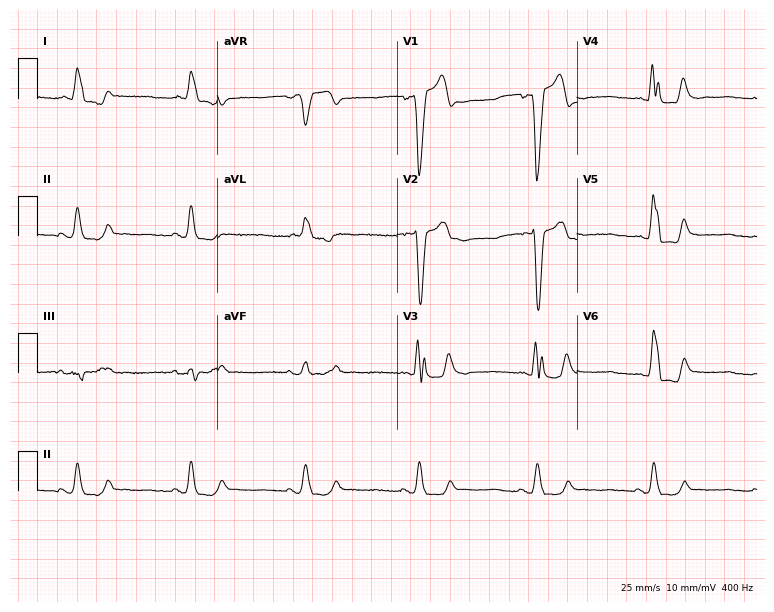
12-lead ECG from an 85-year-old male. Shows left bundle branch block.